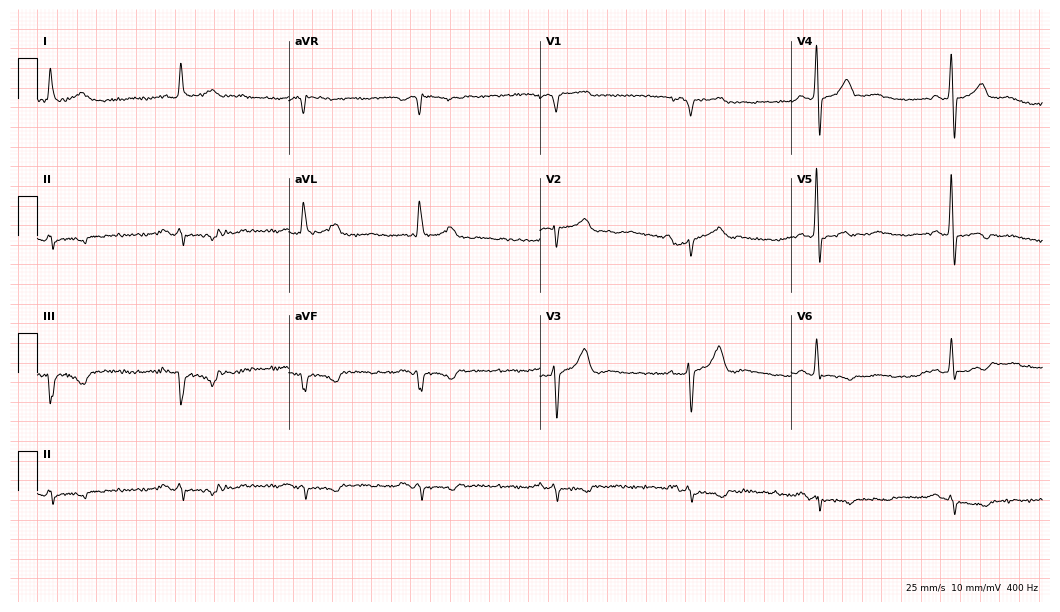
ECG — a male patient, 58 years old. Findings include sinus bradycardia (a sinus rate of 50 beats per minute or less).